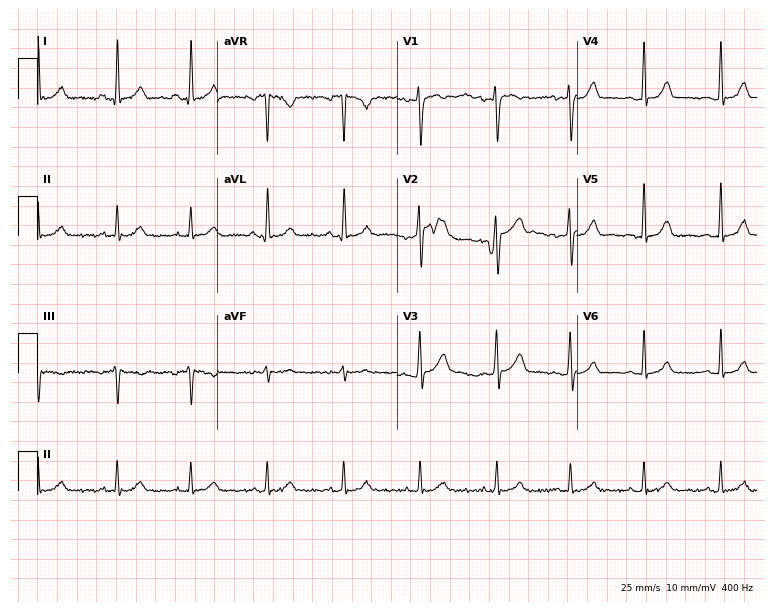
ECG (7.3-second recording at 400 Hz) — a 29-year-old female. Labelled as a normal ECG.